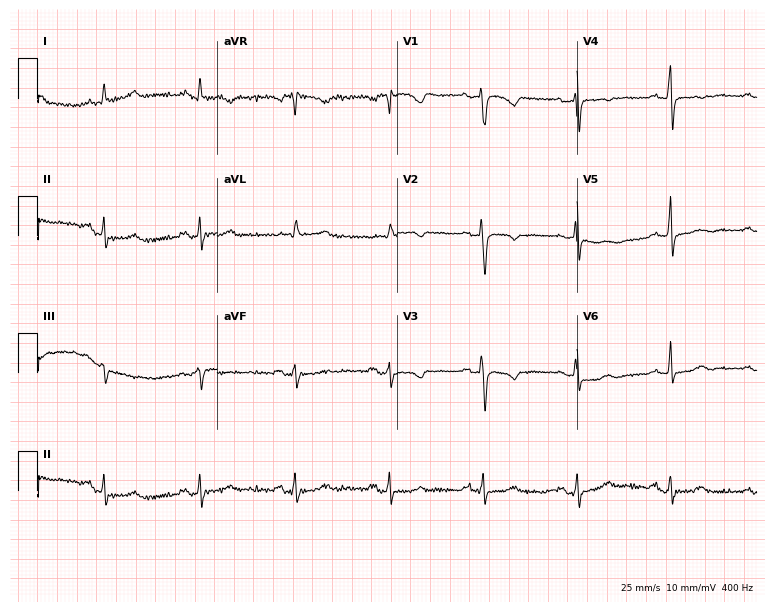
12-lead ECG from a 55-year-old woman. Screened for six findings — first-degree AV block, right bundle branch block, left bundle branch block, sinus bradycardia, atrial fibrillation, sinus tachycardia — none is recorded.